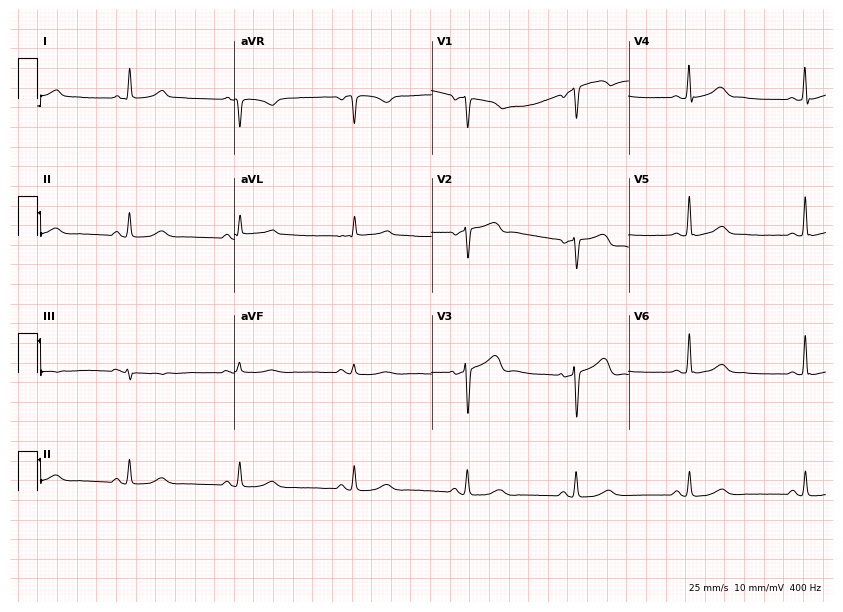
12-lead ECG from a 67-year-old female patient. Labelled as a normal ECG.